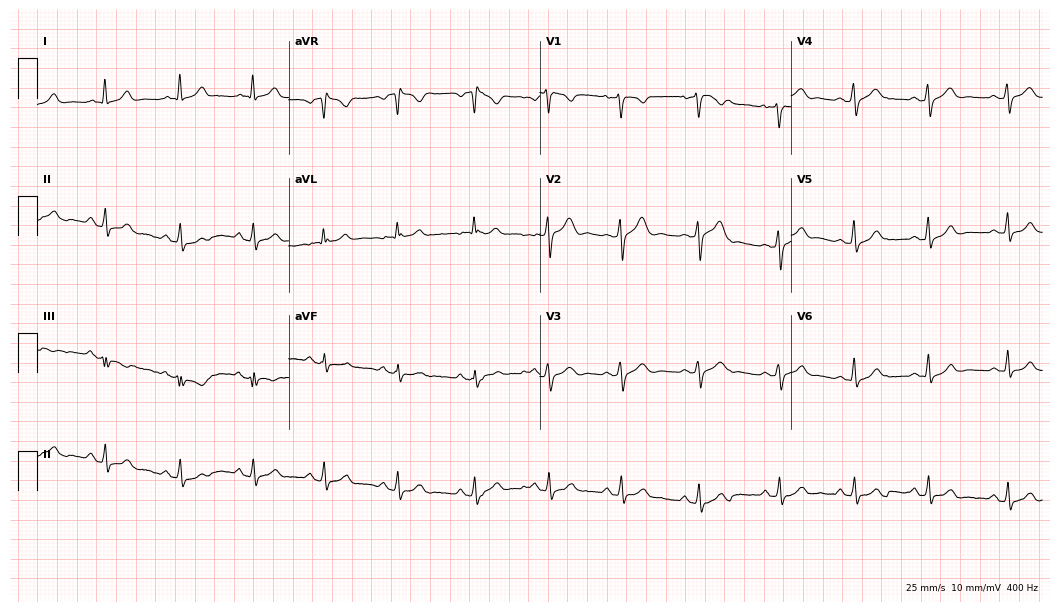
Standard 12-lead ECG recorded from a 27-year-old woman. Read as a normal ECG.